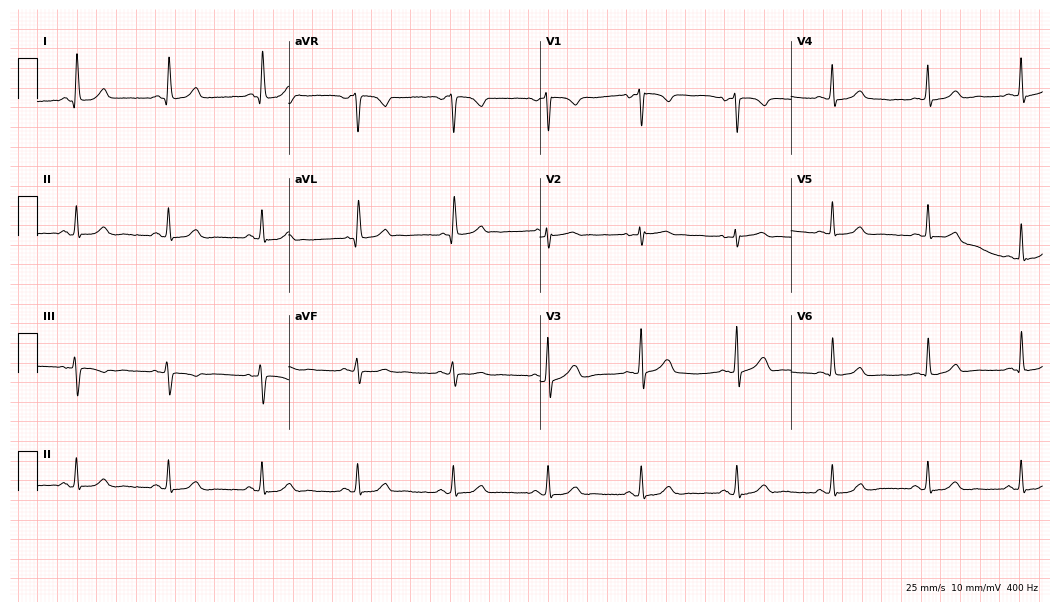
ECG — a 40-year-old female patient. Labelled as a normal ECG.